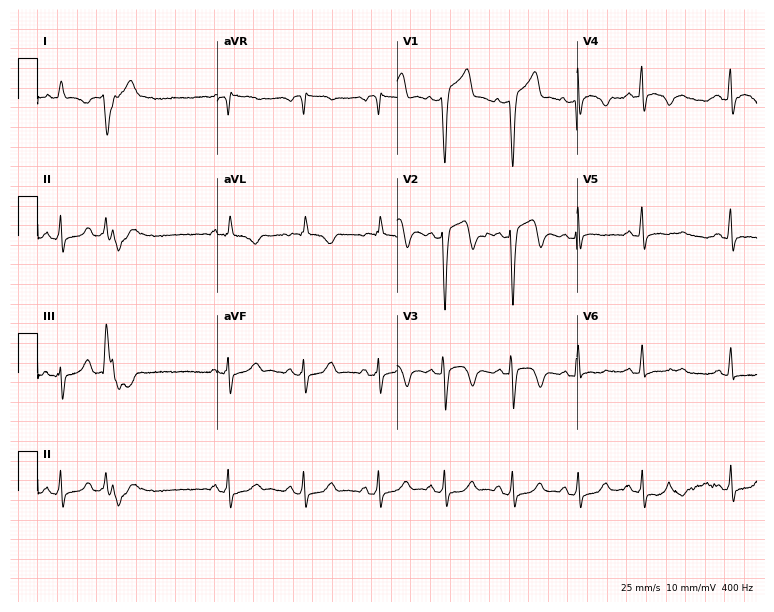
Standard 12-lead ECG recorded from a male, 71 years old. None of these six findings is recorded: first-degree AV block, right bundle branch block, left bundle branch block, sinus bradycardia, atrial fibrillation, sinus tachycardia. Findings outside these six are not listed.